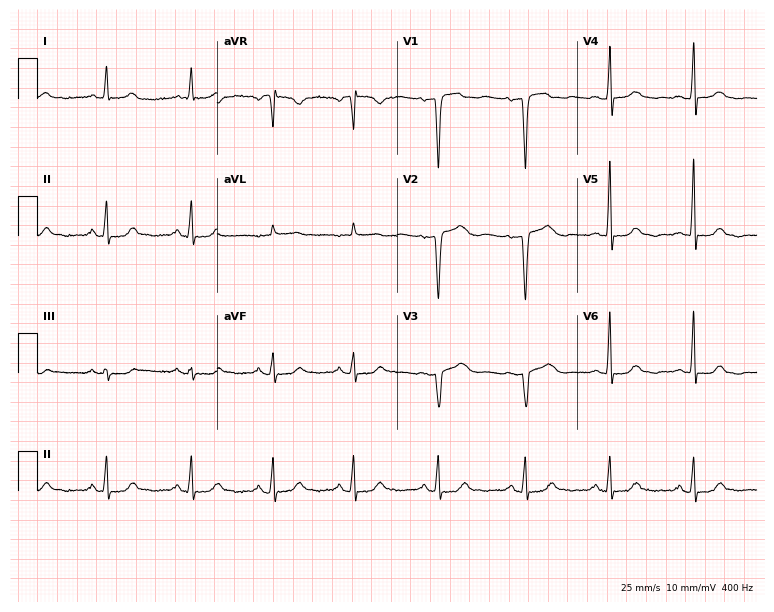
Resting 12-lead electrocardiogram. Patient: a female, 53 years old. None of these six findings is recorded: first-degree AV block, right bundle branch block, left bundle branch block, sinus bradycardia, atrial fibrillation, sinus tachycardia. Findings outside these six are not listed.